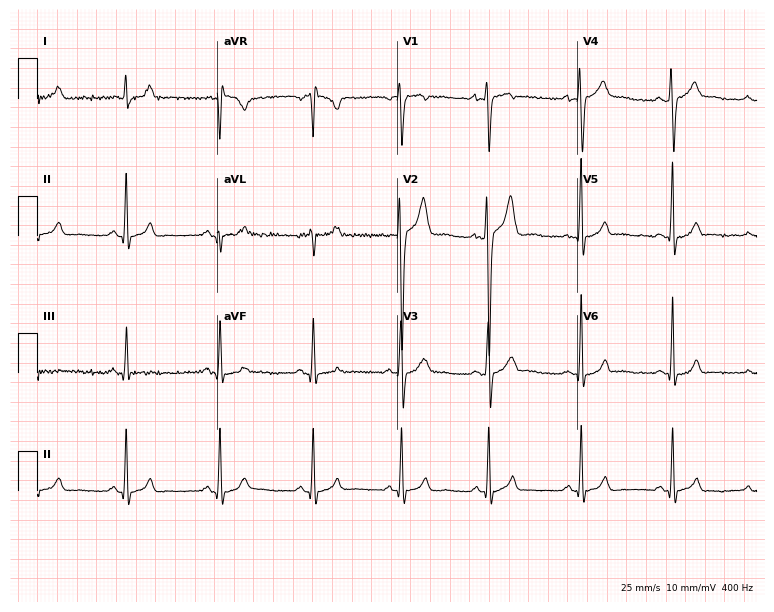
Electrocardiogram, a male patient, 17 years old. Overall reading on record: normal ECG.